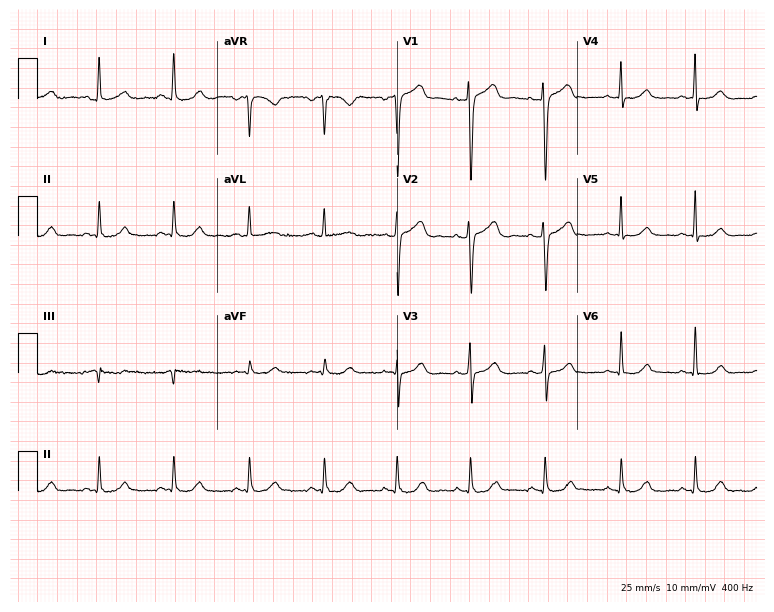
12-lead ECG from a 54-year-old woman (7.3-second recording at 400 Hz). No first-degree AV block, right bundle branch block, left bundle branch block, sinus bradycardia, atrial fibrillation or sinus tachycardia recorded for this tracing. Other findings, if any, are not listed.